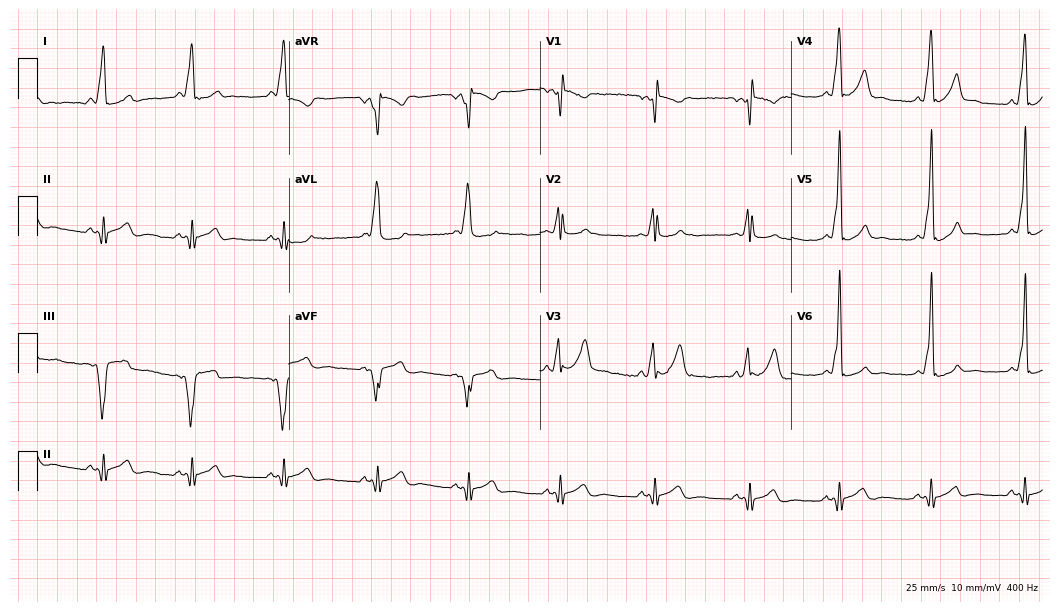
12-lead ECG from a 26-year-old male. No first-degree AV block, right bundle branch block (RBBB), left bundle branch block (LBBB), sinus bradycardia, atrial fibrillation (AF) or sinus tachycardia recorded for this tracing. Only these six findings were labelled.